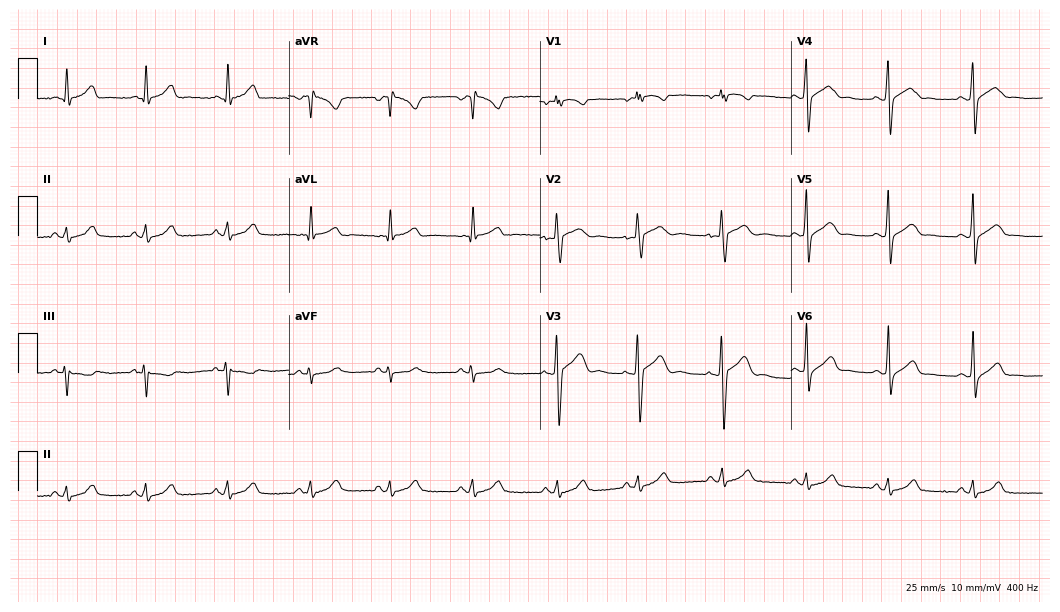
Electrocardiogram, a man, 18 years old. Overall reading on record: normal ECG.